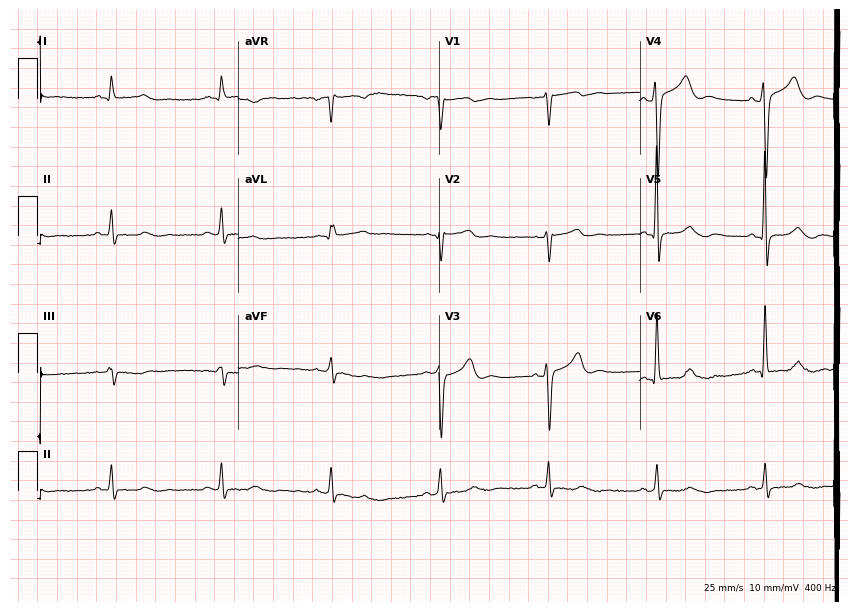
Resting 12-lead electrocardiogram (8.2-second recording at 400 Hz). Patient: a 51-year-old male. None of these six findings is recorded: first-degree AV block, right bundle branch block, left bundle branch block, sinus bradycardia, atrial fibrillation, sinus tachycardia. Only these six findings were labelled.